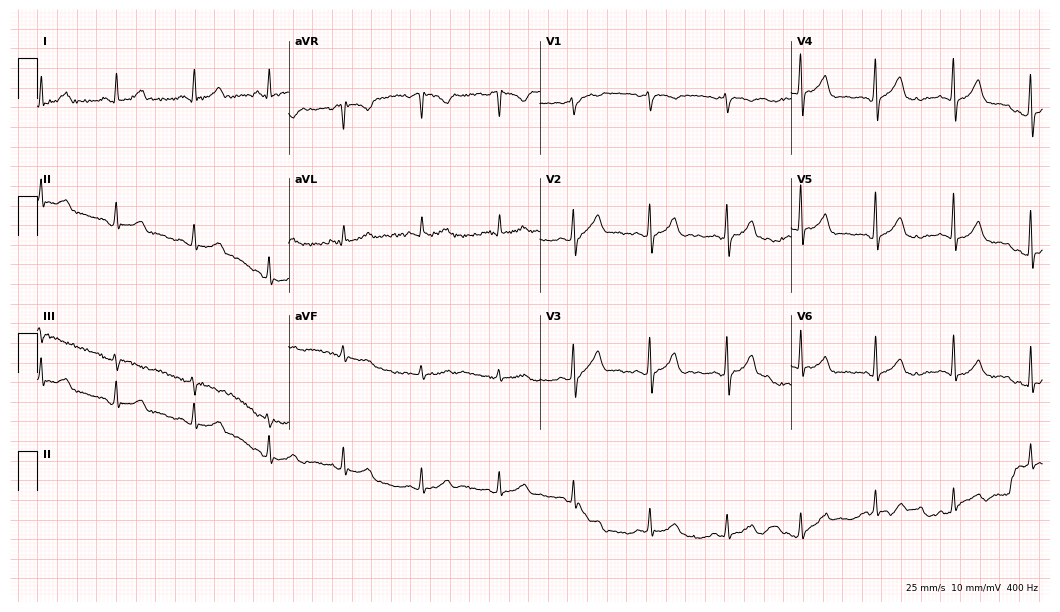
12-lead ECG from a female, 35 years old (10.2-second recording at 400 Hz). Recorded interpretation: within normal limits.